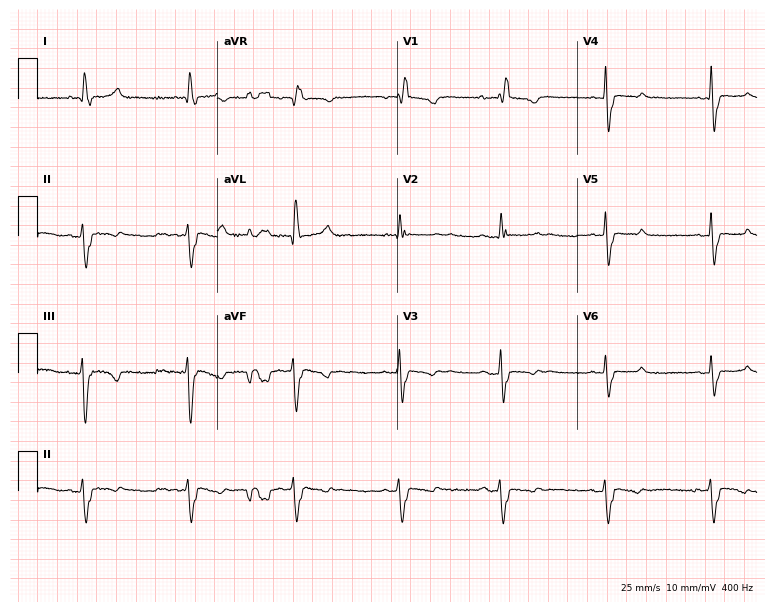
12-lead ECG from a 71-year-old female (7.3-second recording at 400 Hz). Shows right bundle branch block (RBBB).